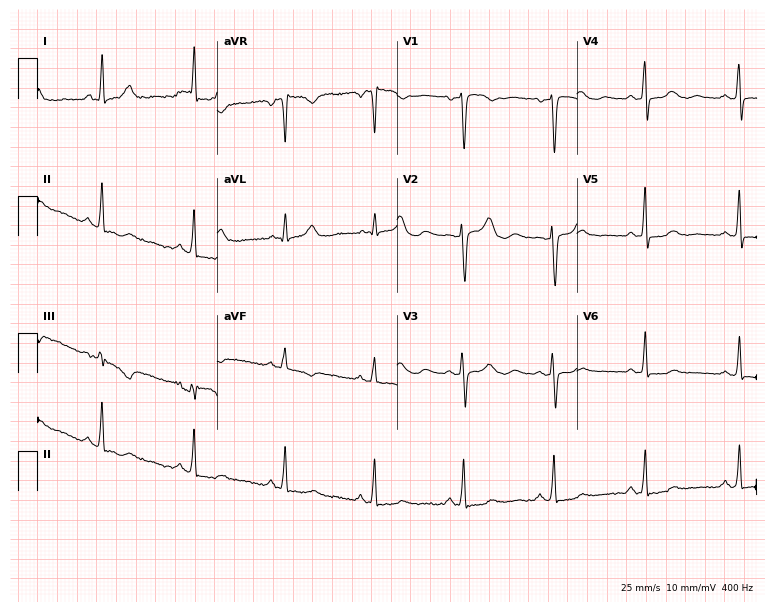
ECG (7.3-second recording at 400 Hz) — a 47-year-old female patient. Screened for six findings — first-degree AV block, right bundle branch block (RBBB), left bundle branch block (LBBB), sinus bradycardia, atrial fibrillation (AF), sinus tachycardia — none is recorded. Other findings, if any, are not listed.